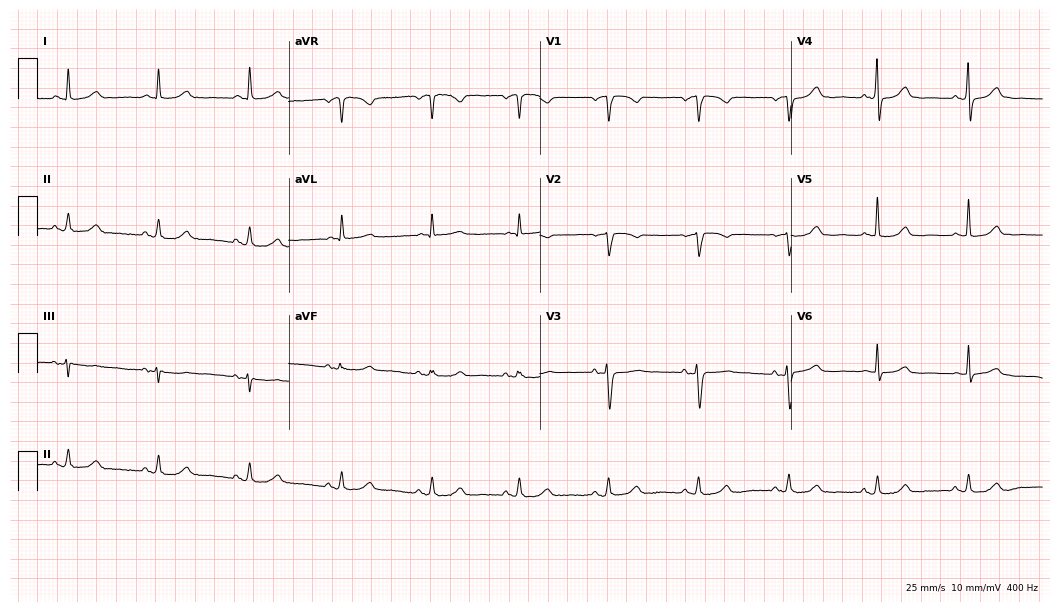
Electrocardiogram (10.2-second recording at 400 Hz), a female, 66 years old. Overall reading on record: normal ECG.